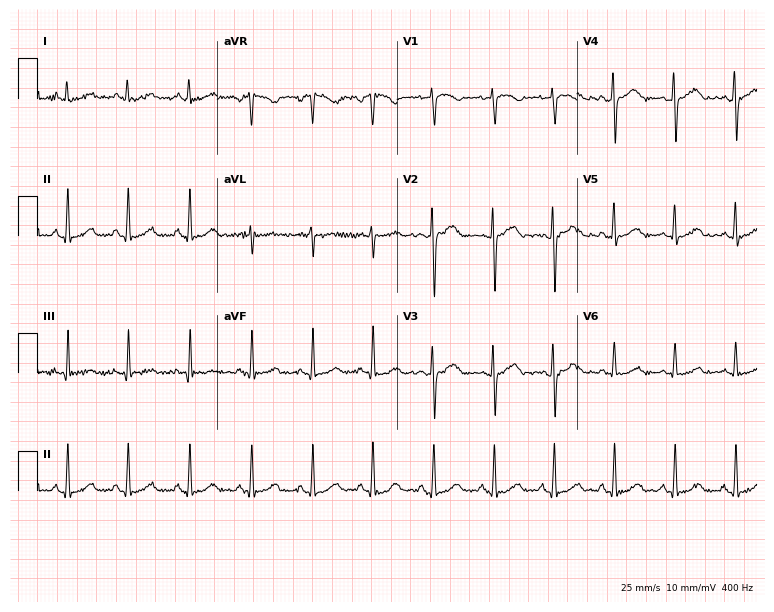
12-lead ECG from a 35-year-old female. Recorded interpretation: within normal limits.